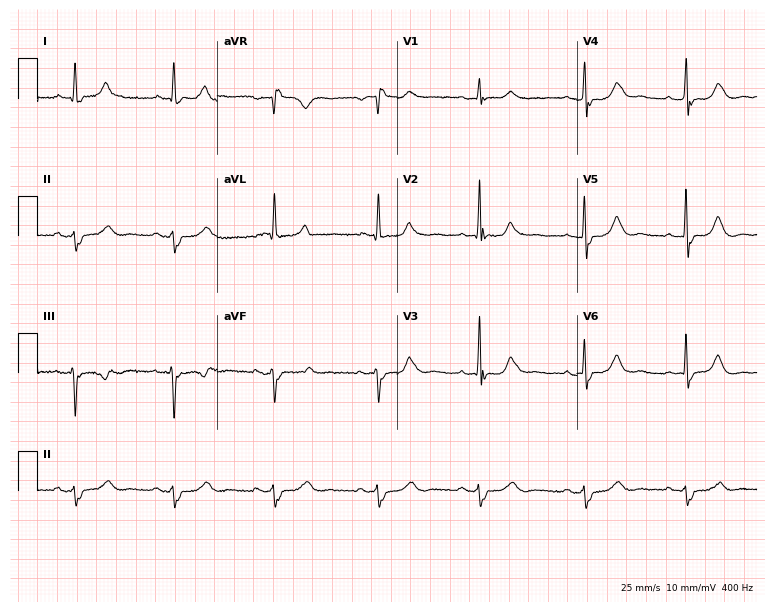
Resting 12-lead electrocardiogram (7.3-second recording at 400 Hz). Patient: a woman, 81 years old. None of these six findings is recorded: first-degree AV block, right bundle branch block, left bundle branch block, sinus bradycardia, atrial fibrillation, sinus tachycardia.